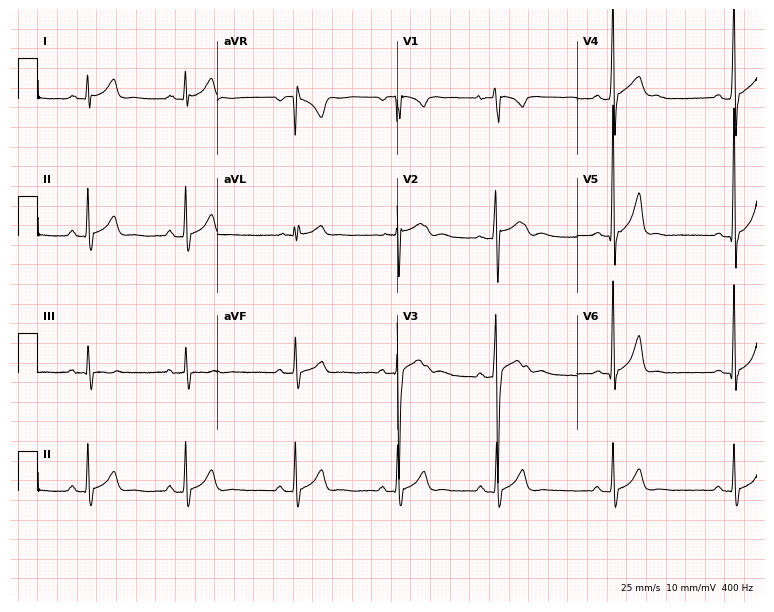
Electrocardiogram, a 20-year-old male. Overall reading on record: normal ECG.